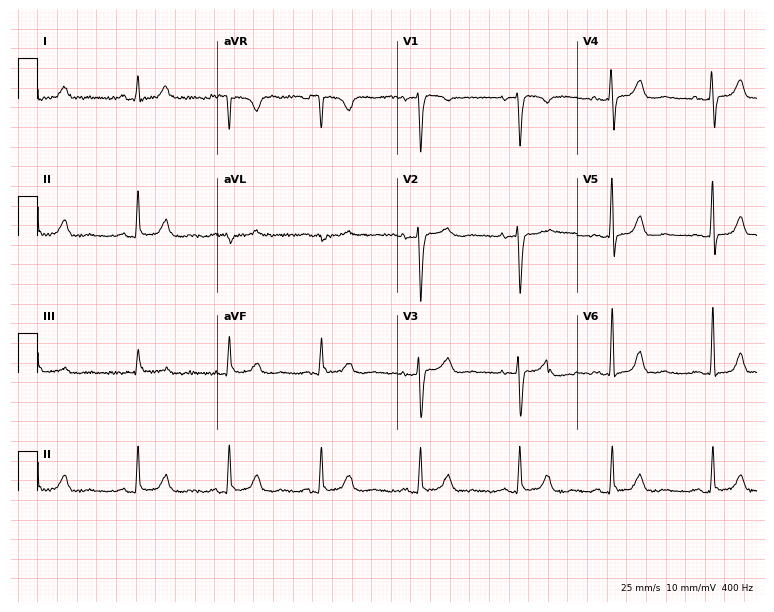
12-lead ECG from a woman, 42 years old. Recorded interpretation: within normal limits.